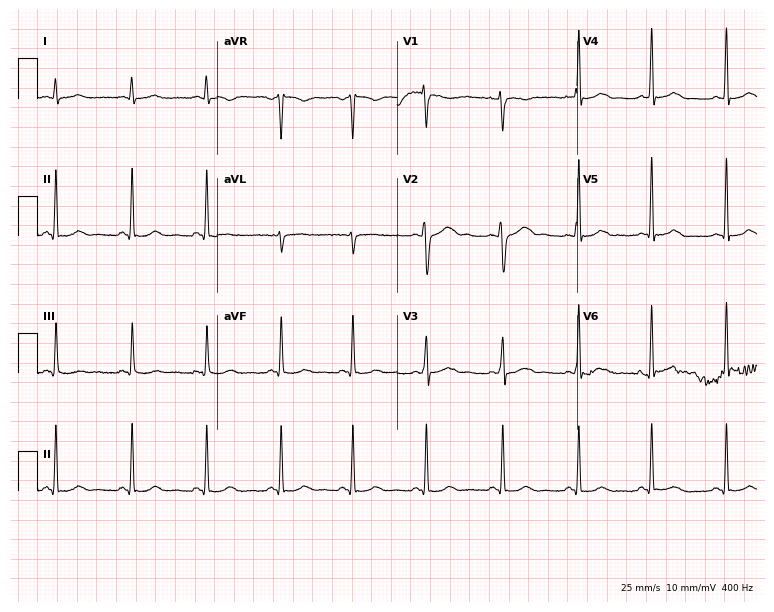
12-lead ECG from a 32-year-old female. Labelled as a normal ECG.